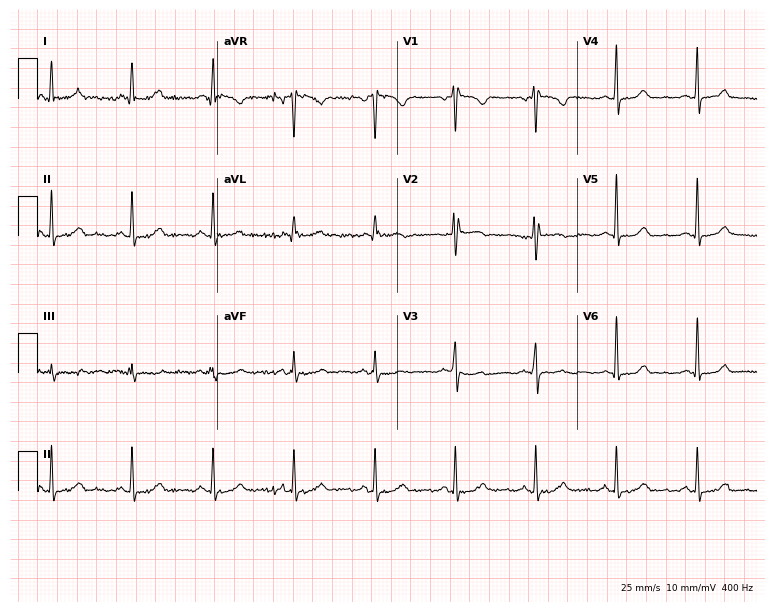
12-lead ECG (7.3-second recording at 400 Hz) from a 53-year-old woman. Labelled as a normal ECG.